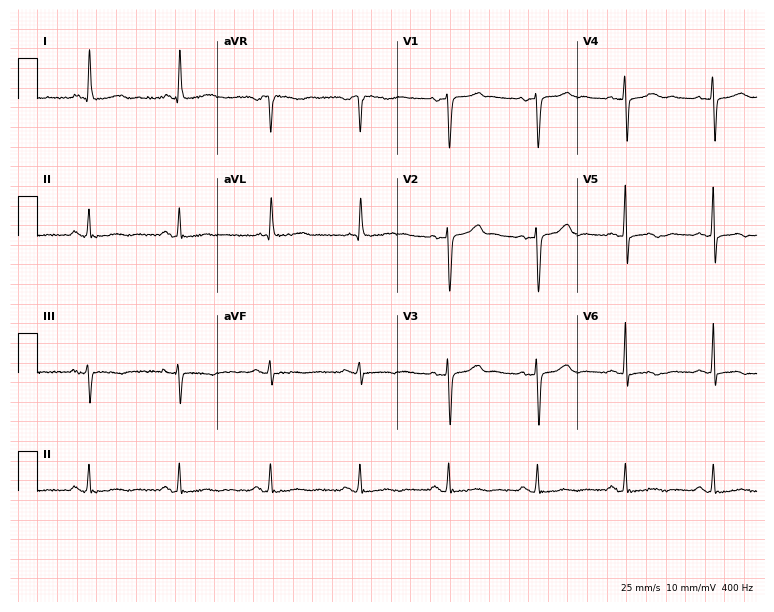
12-lead ECG from a 64-year-old female. Labelled as a normal ECG.